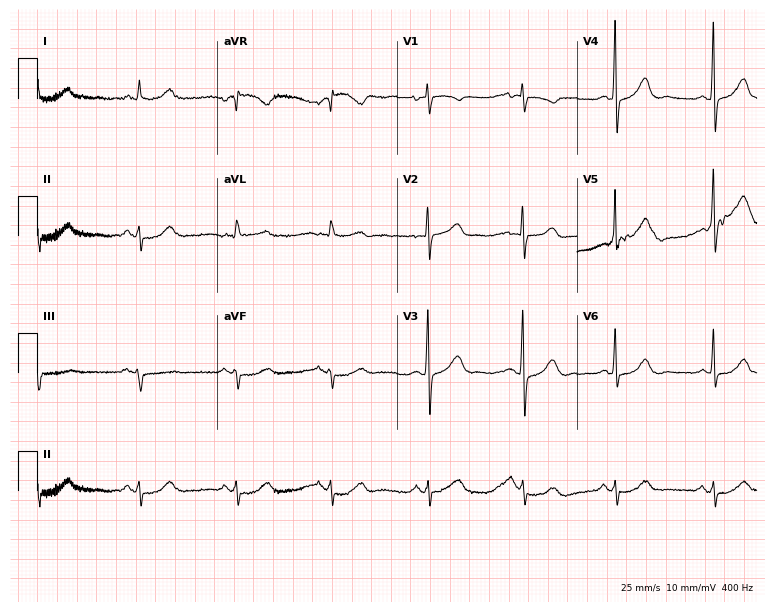
Electrocardiogram (7.3-second recording at 400 Hz), a female, 65 years old. Of the six screened findings (first-degree AV block, right bundle branch block, left bundle branch block, sinus bradycardia, atrial fibrillation, sinus tachycardia), none is recorded. Only these six findings were labelled.